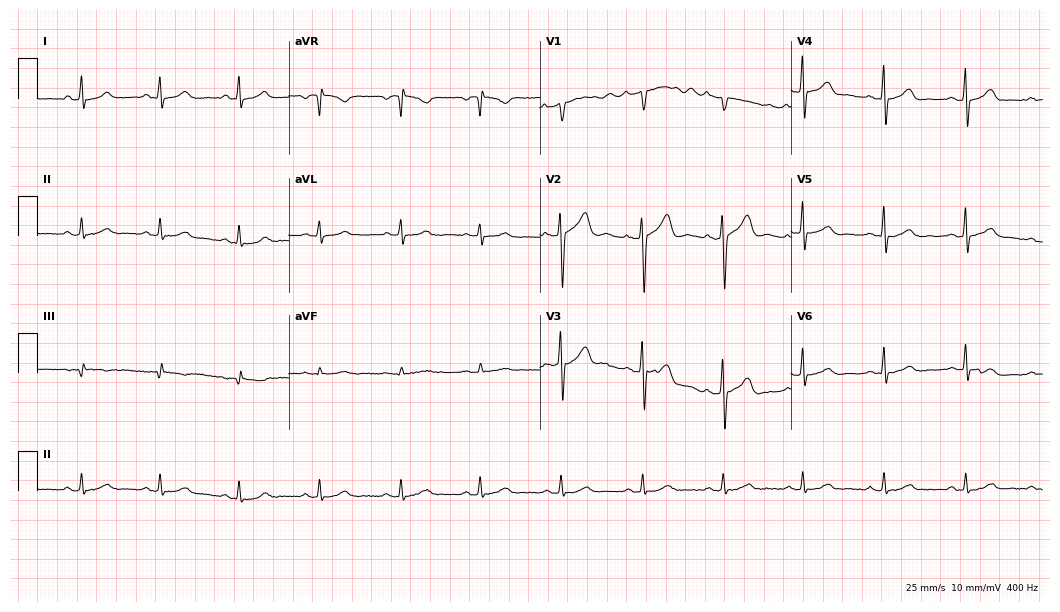
ECG — a man, 40 years old. Labelled as a normal ECG.